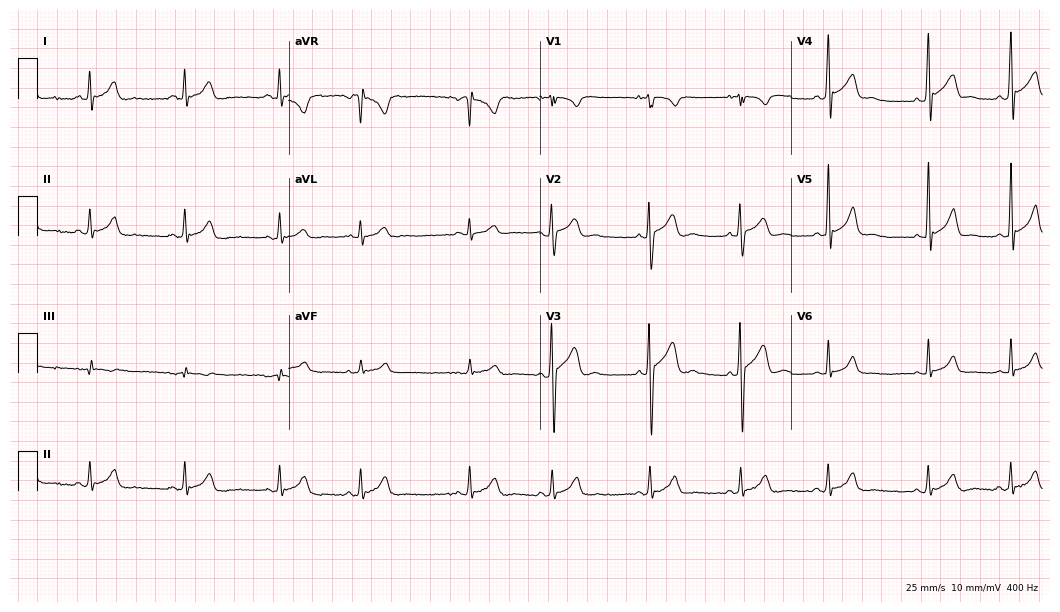
Electrocardiogram (10.2-second recording at 400 Hz), an 18-year-old male. Overall reading on record: normal ECG.